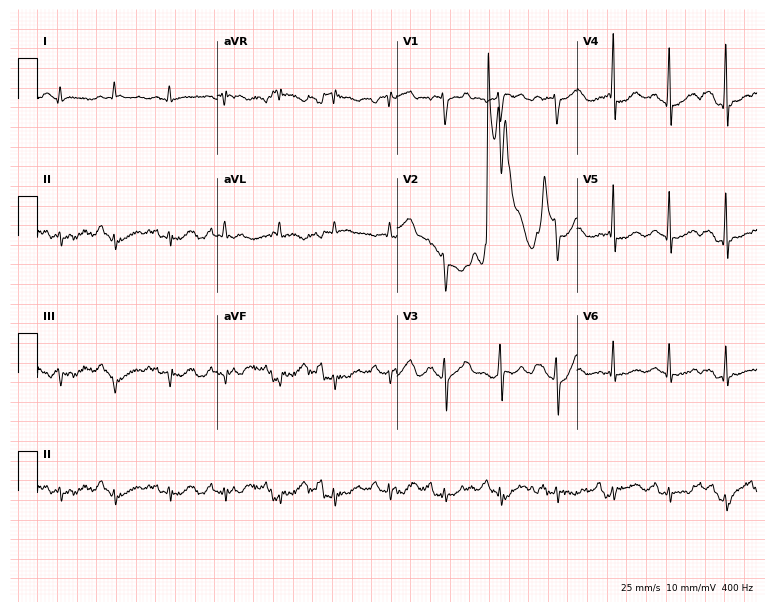
ECG — a man, 52 years old. Screened for six findings — first-degree AV block, right bundle branch block (RBBB), left bundle branch block (LBBB), sinus bradycardia, atrial fibrillation (AF), sinus tachycardia — none is recorded.